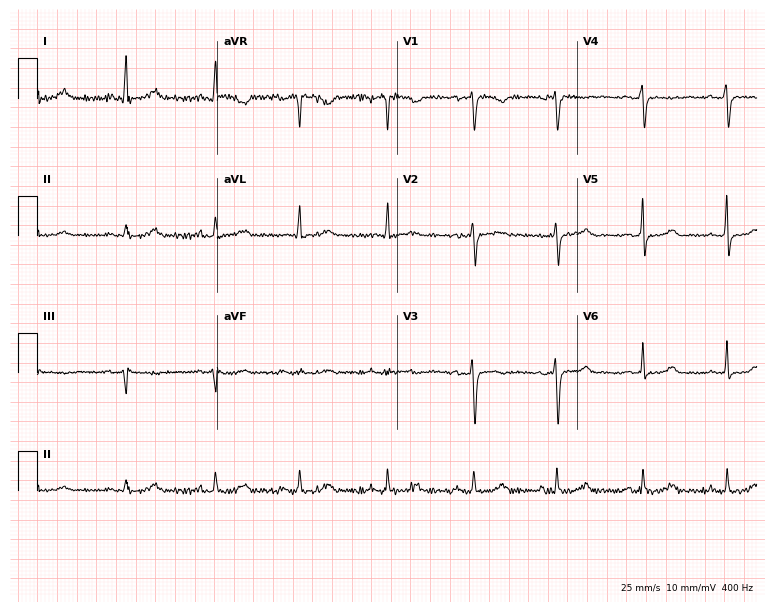
ECG — a 43-year-old woman. Screened for six findings — first-degree AV block, right bundle branch block (RBBB), left bundle branch block (LBBB), sinus bradycardia, atrial fibrillation (AF), sinus tachycardia — none is recorded. Other findings, if any, are not listed.